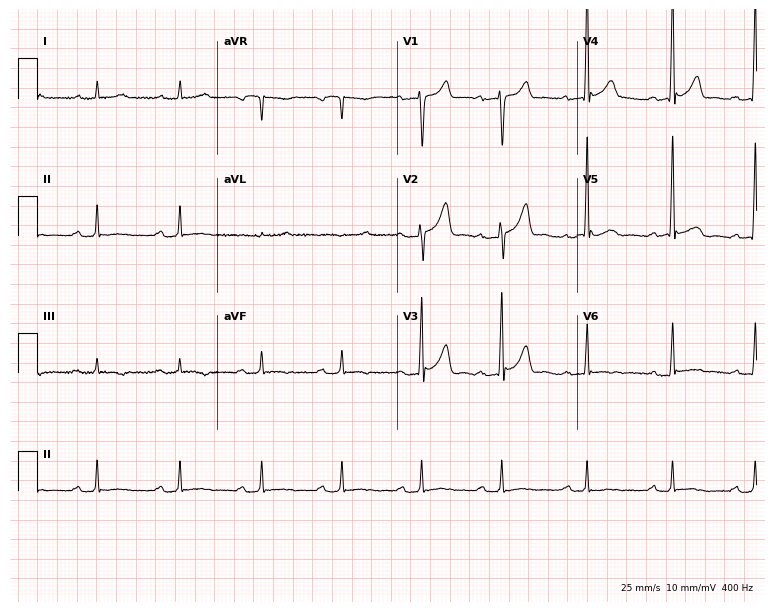
12-lead ECG from a 53-year-old male (7.3-second recording at 400 Hz). Shows first-degree AV block.